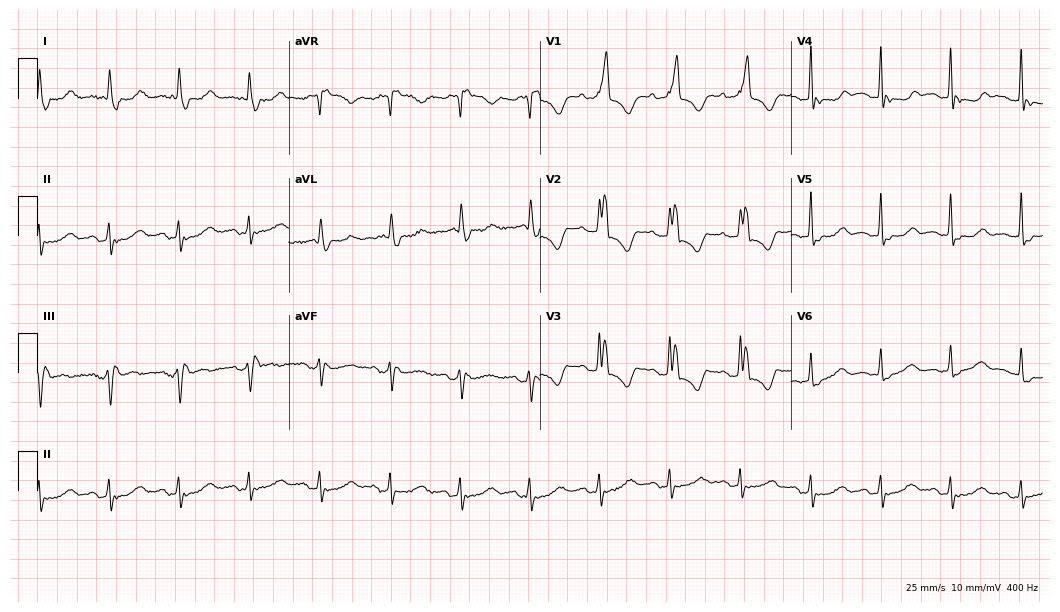
12-lead ECG from an 89-year-old female patient (10.2-second recording at 400 Hz). Shows right bundle branch block (RBBB).